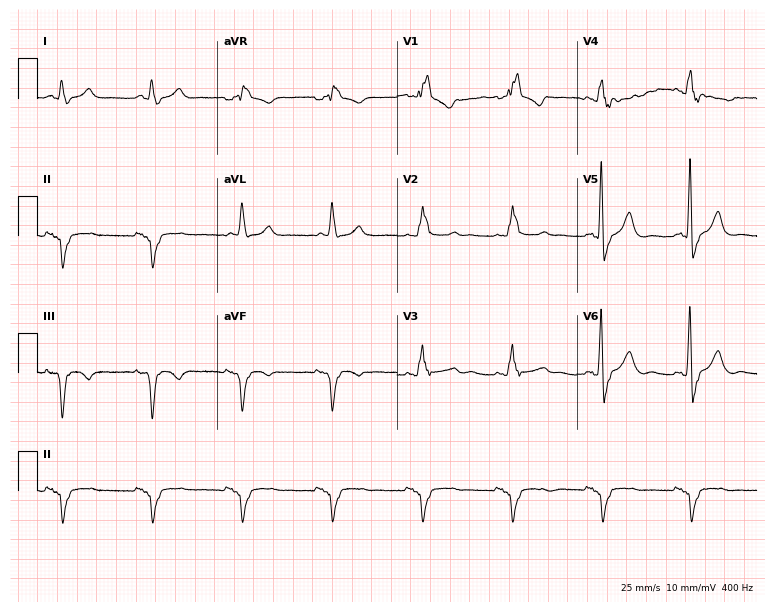
ECG — a 68-year-old male. Findings include right bundle branch block.